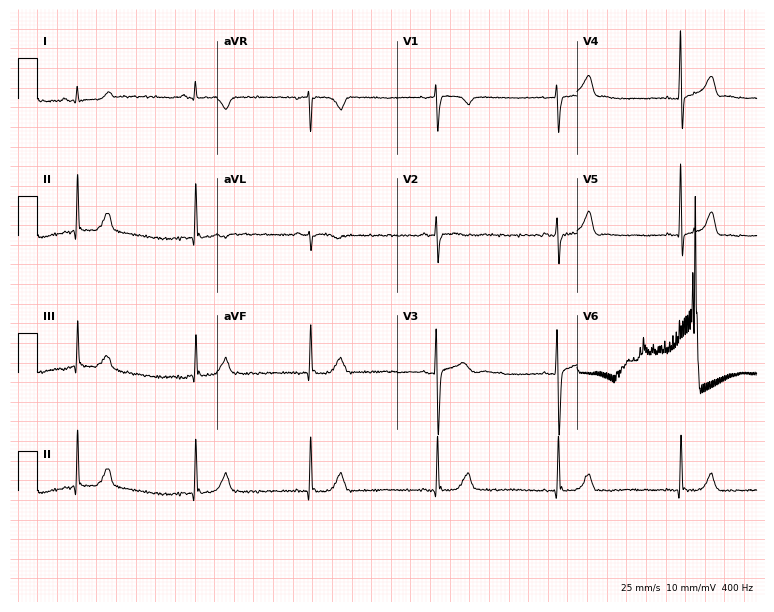
12-lead ECG from a man, 35 years old. Shows atrial fibrillation.